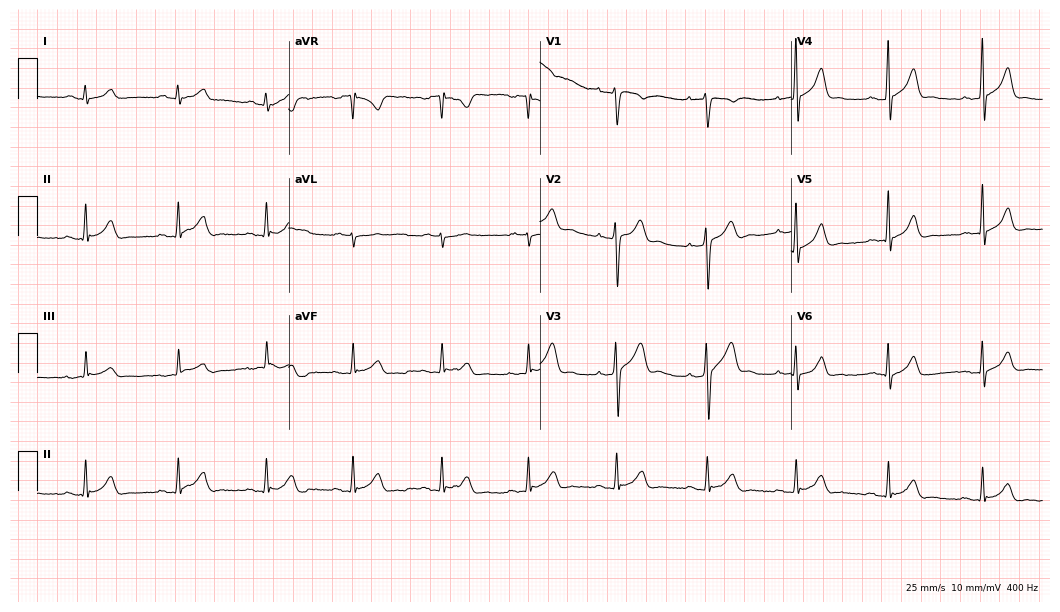
12-lead ECG from a 23-year-old man. No first-degree AV block, right bundle branch block, left bundle branch block, sinus bradycardia, atrial fibrillation or sinus tachycardia recorded for this tracing.